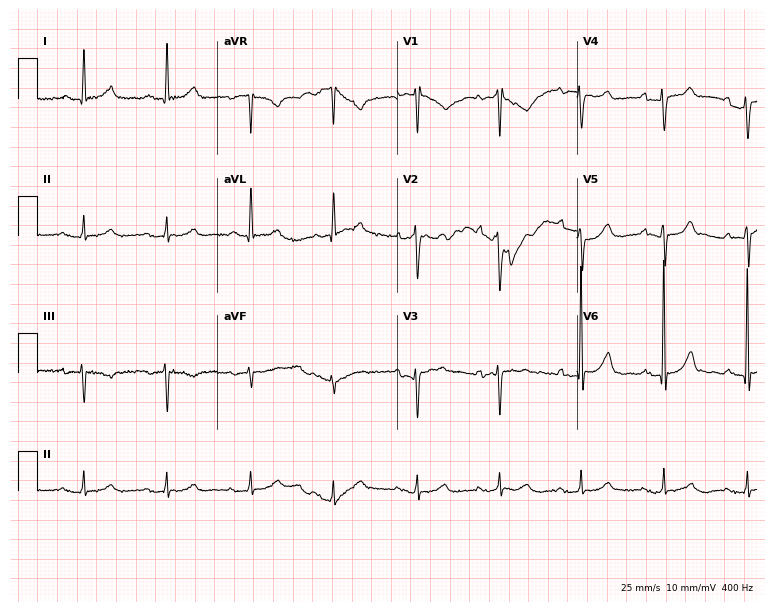
Standard 12-lead ECG recorded from a 68-year-old male. Read as a normal ECG.